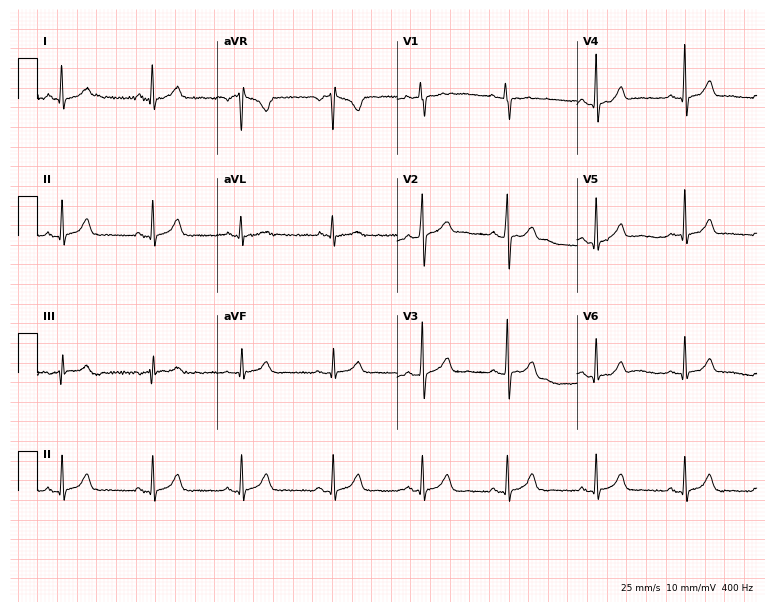
Electrocardiogram, a 21-year-old woman. Of the six screened findings (first-degree AV block, right bundle branch block, left bundle branch block, sinus bradycardia, atrial fibrillation, sinus tachycardia), none is recorded.